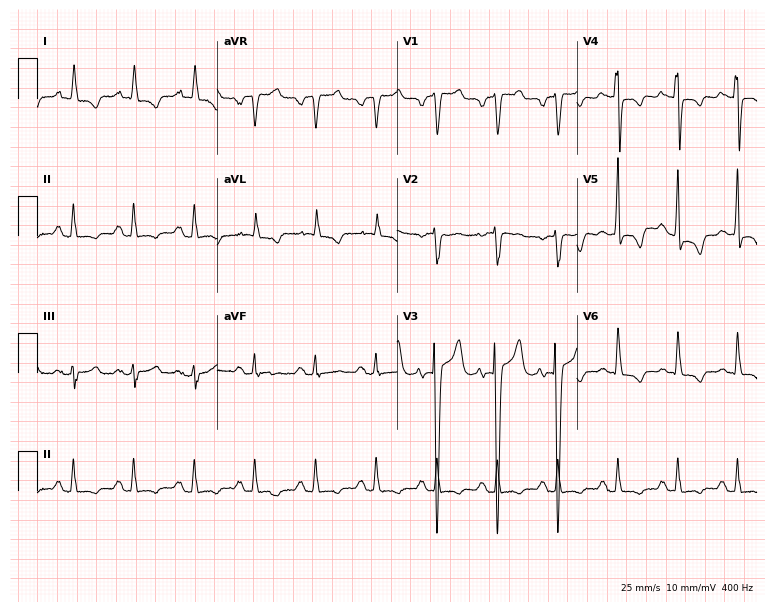
12-lead ECG from a 43-year-old male (7.3-second recording at 400 Hz). No first-degree AV block, right bundle branch block, left bundle branch block, sinus bradycardia, atrial fibrillation or sinus tachycardia recorded for this tracing.